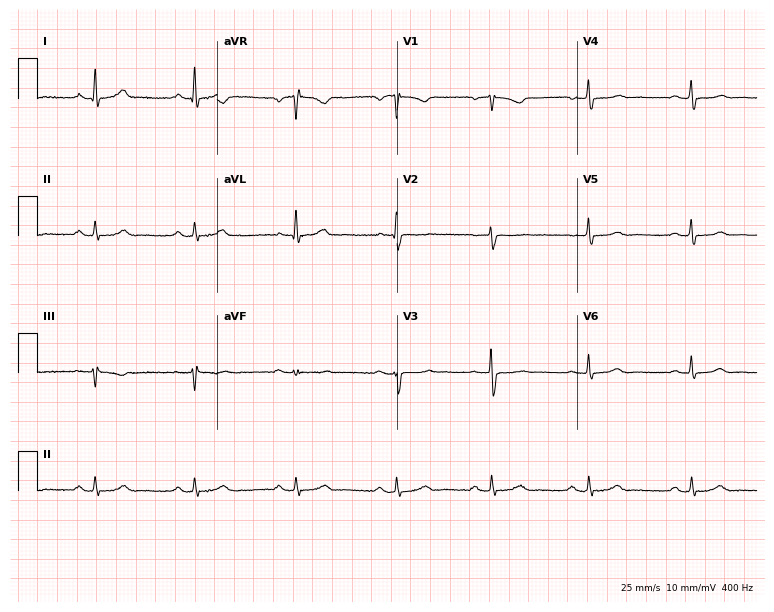
Resting 12-lead electrocardiogram. Patient: a woman, 53 years old. None of these six findings is recorded: first-degree AV block, right bundle branch block (RBBB), left bundle branch block (LBBB), sinus bradycardia, atrial fibrillation (AF), sinus tachycardia. Other findings, if any, are not listed.